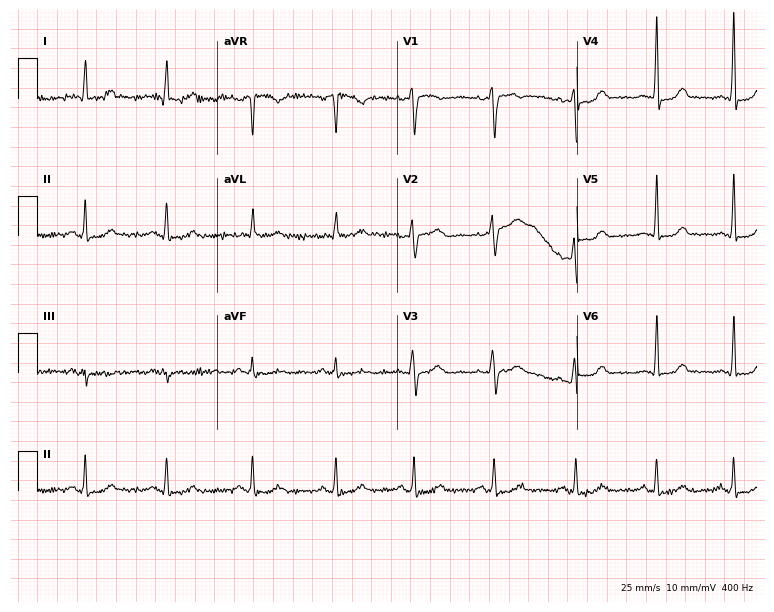
Standard 12-lead ECG recorded from a 42-year-old woman (7.3-second recording at 400 Hz). None of these six findings is recorded: first-degree AV block, right bundle branch block, left bundle branch block, sinus bradycardia, atrial fibrillation, sinus tachycardia.